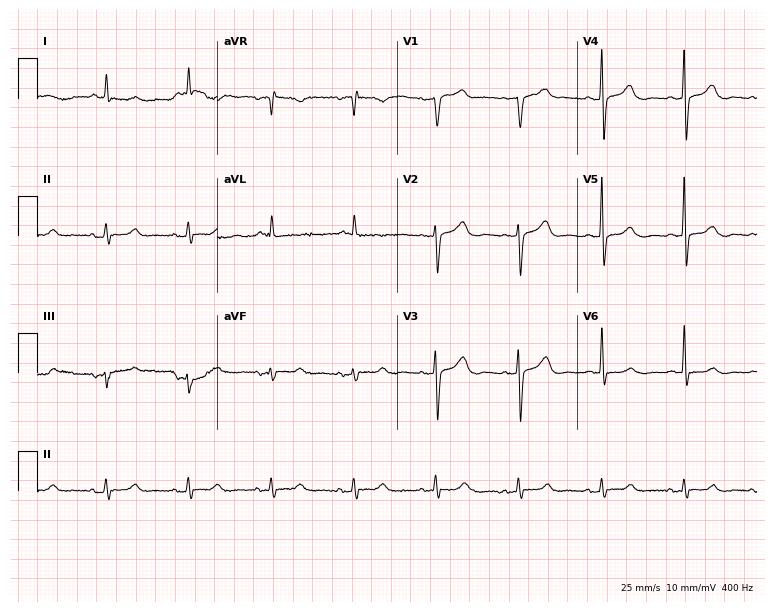
Electrocardiogram, a 76-year-old female patient. Of the six screened findings (first-degree AV block, right bundle branch block, left bundle branch block, sinus bradycardia, atrial fibrillation, sinus tachycardia), none is recorded. Findings outside these six are not listed.